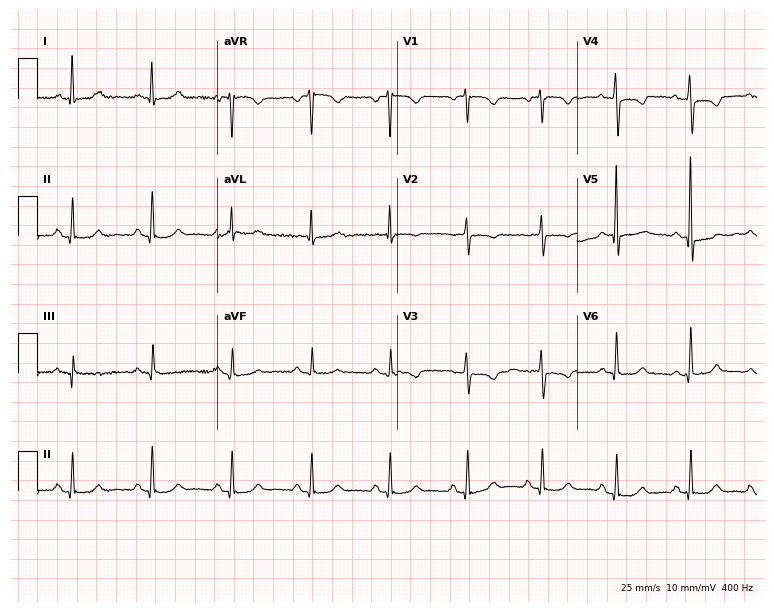
Electrocardiogram (7.3-second recording at 400 Hz), a 76-year-old woman. Overall reading on record: normal ECG.